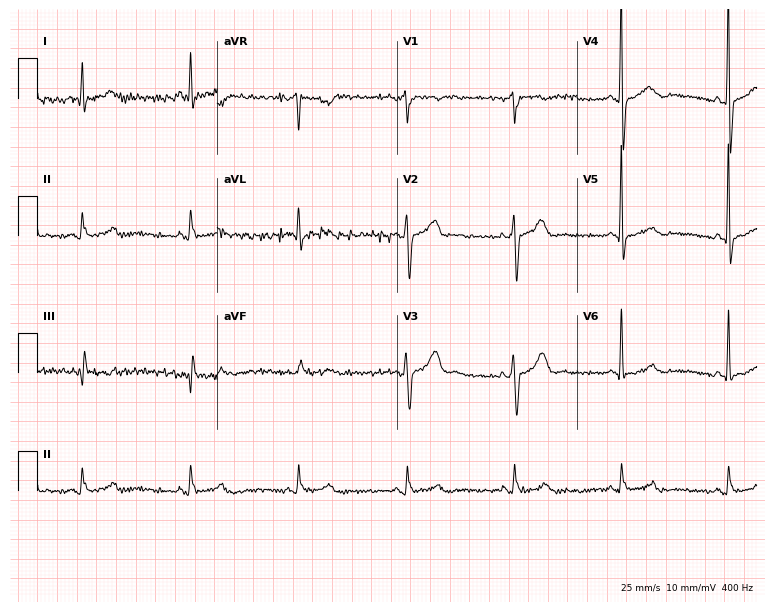
Resting 12-lead electrocardiogram. Patient: a male, 44 years old. None of these six findings is recorded: first-degree AV block, right bundle branch block, left bundle branch block, sinus bradycardia, atrial fibrillation, sinus tachycardia.